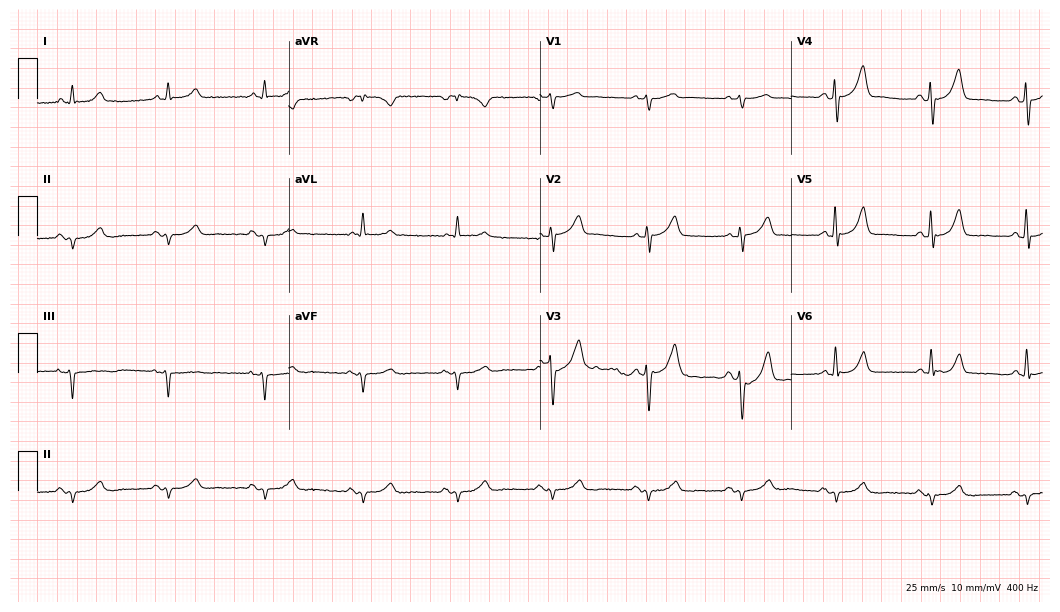
Electrocardiogram, a male patient, 77 years old. Of the six screened findings (first-degree AV block, right bundle branch block, left bundle branch block, sinus bradycardia, atrial fibrillation, sinus tachycardia), none is recorded.